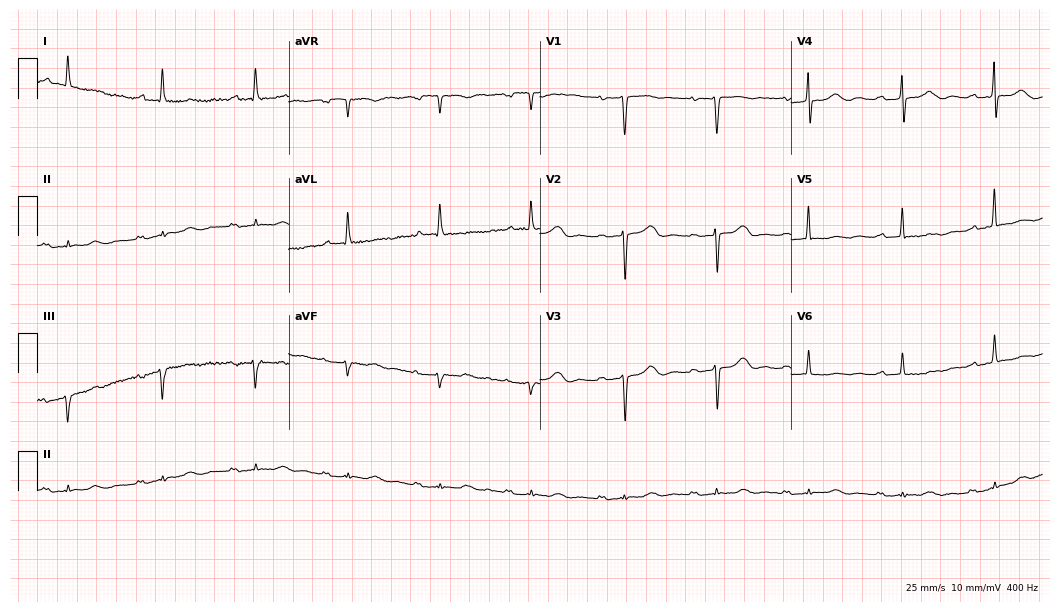
Standard 12-lead ECG recorded from an 83-year-old female patient. The tracing shows first-degree AV block.